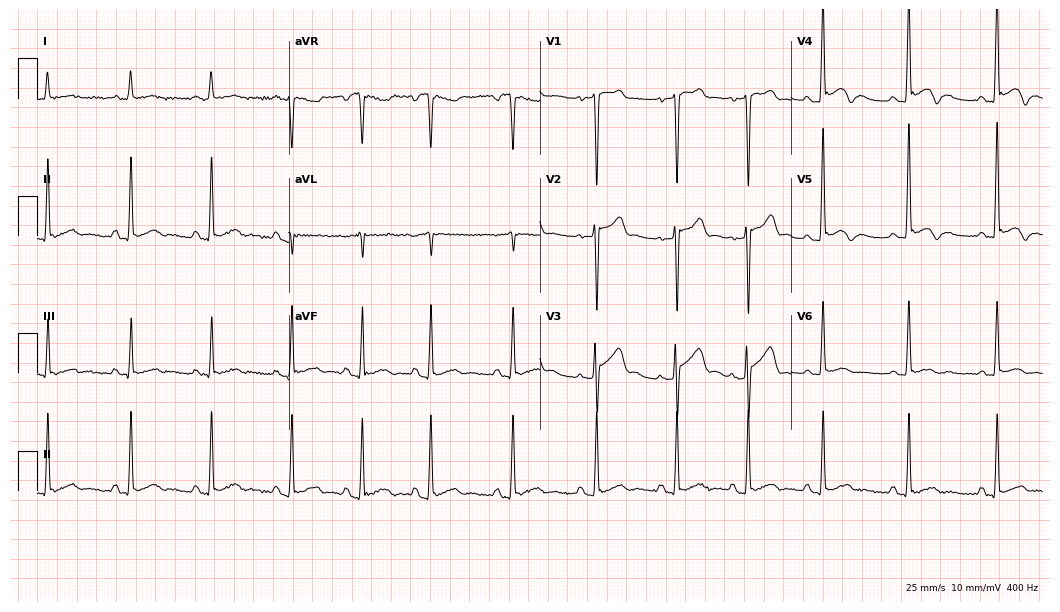
Electrocardiogram (10.2-second recording at 400 Hz), a male, 18 years old. Of the six screened findings (first-degree AV block, right bundle branch block, left bundle branch block, sinus bradycardia, atrial fibrillation, sinus tachycardia), none is recorded. Other findings, if any, are not listed.